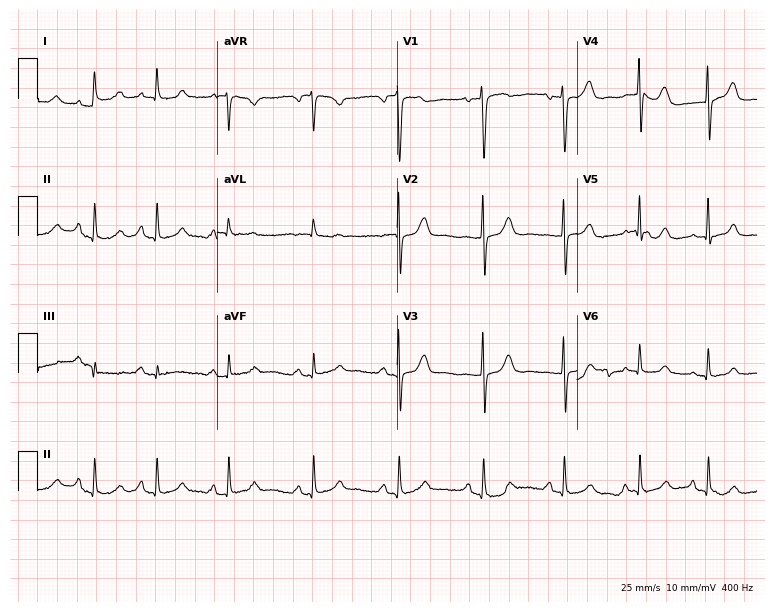
12-lead ECG from a female patient, 24 years old (7.3-second recording at 400 Hz). No first-degree AV block, right bundle branch block, left bundle branch block, sinus bradycardia, atrial fibrillation or sinus tachycardia recorded for this tracing. Findings outside these six are not listed.